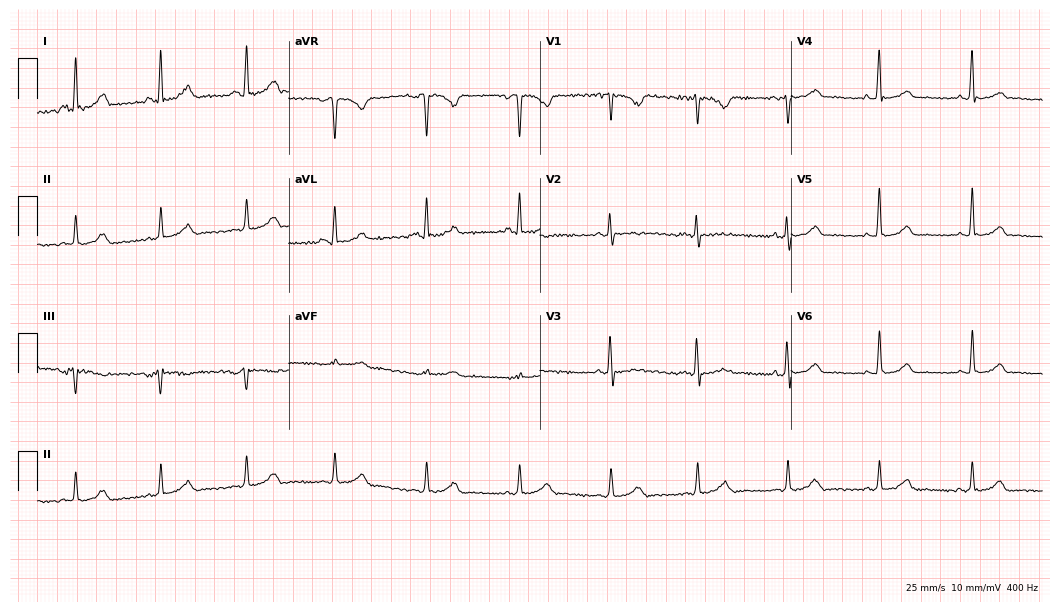
Electrocardiogram, a female patient, 52 years old. Overall reading on record: normal ECG.